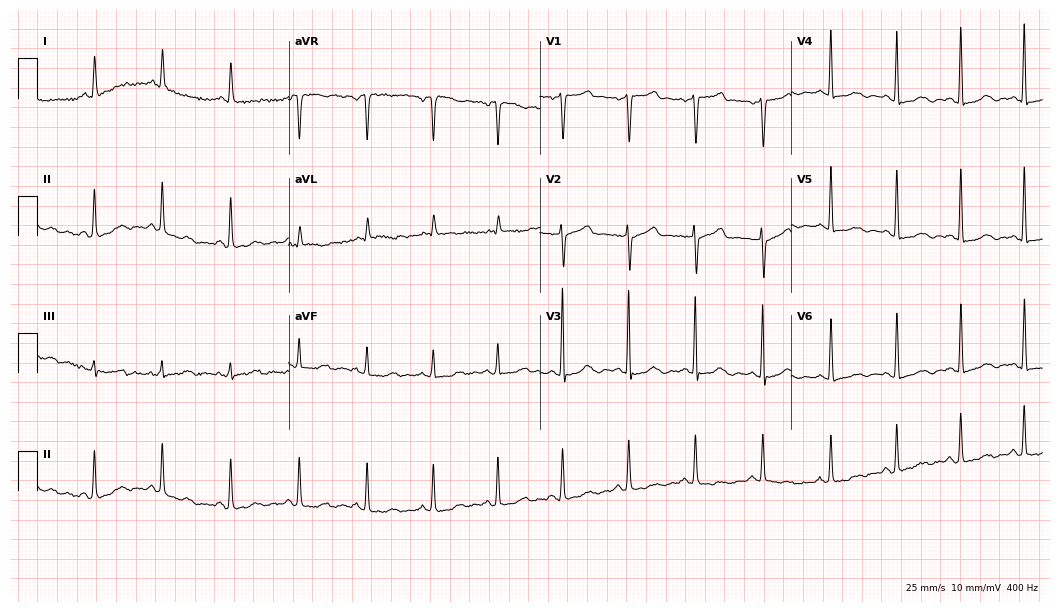
ECG — a 66-year-old female patient. Screened for six findings — first-degree AV block, right bundle branch block, left bundle branch block, sinus bradycardia, atrial fibrillation, sinus tachycardia — none is recorded. Findings outside these six are not listed.